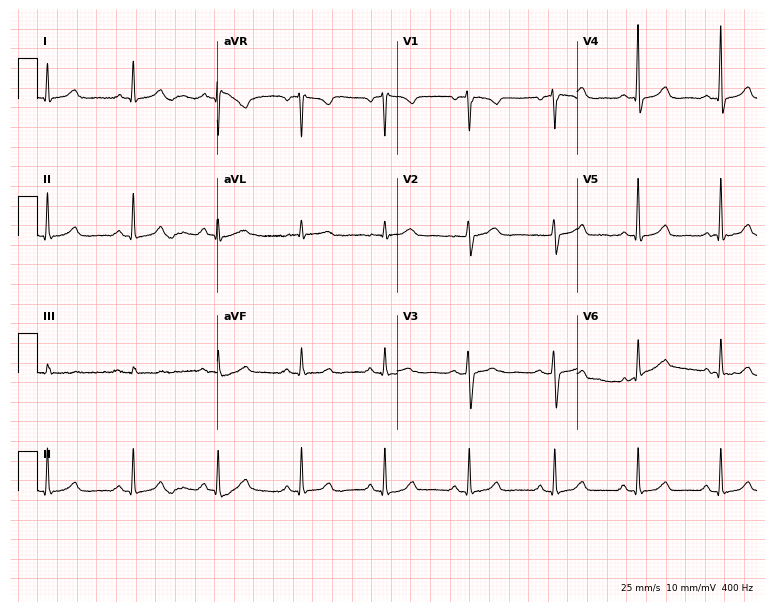
Standard 12-lead ECG recorded from a female, 50 years old (7.3-second recording at 400 Hz). Read as a normal ECG.